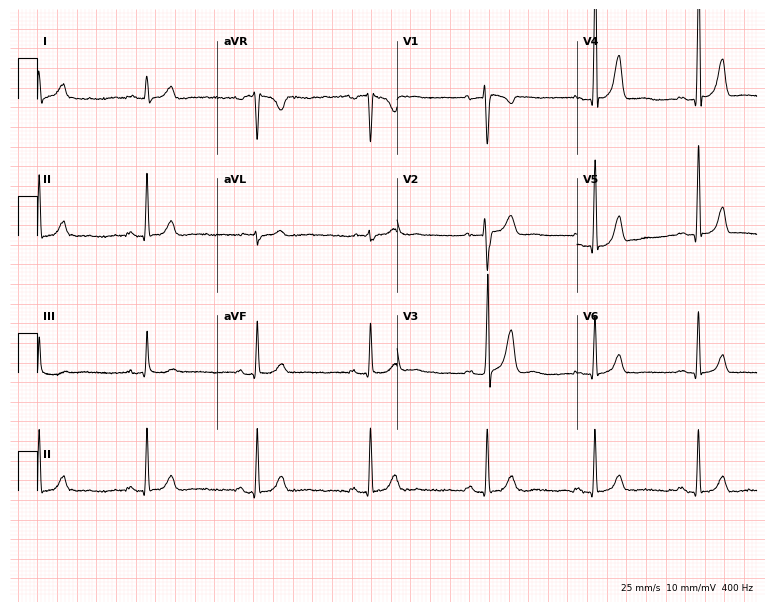
Electrocardiogram, a 51-year-old male. Of the six screened findings (first-degree AV block, right bundle branch block, left bundle branch block, sinus bradycardia, atrial fibrillation, sinus tachycardia), none is recorded.